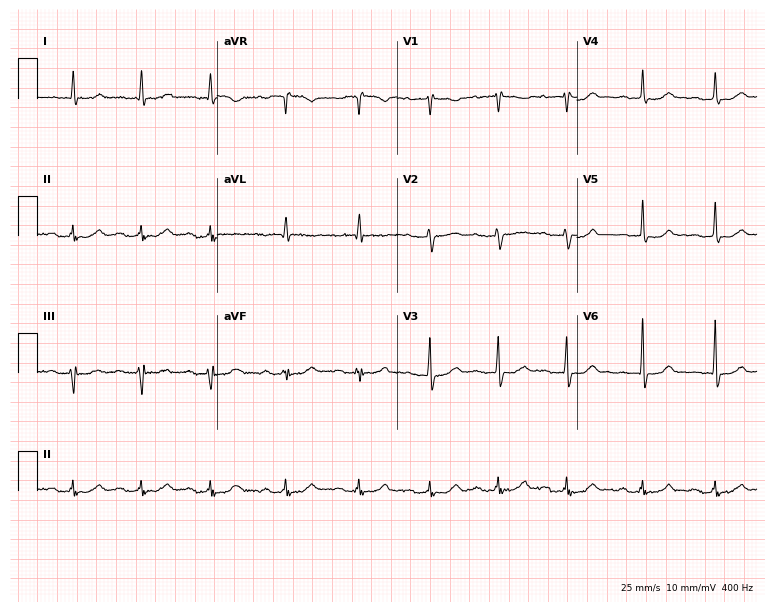
ECG (7.3-second recording at 400 Hz) — a female patient, 60 years old. Findings include first-degree AV block.